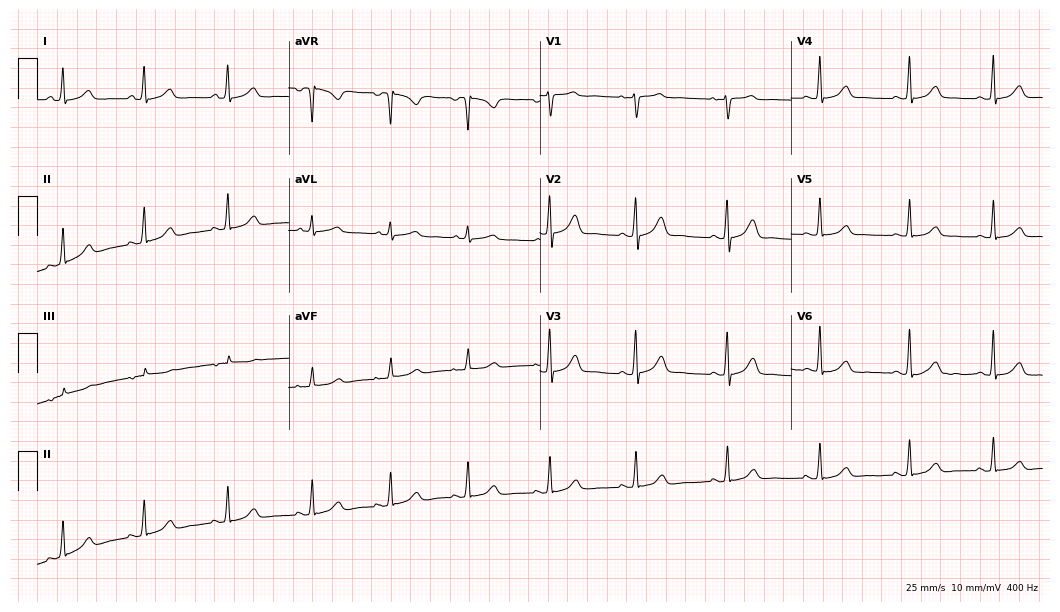
Resting 12-lead electrocardiogram. Patient: a 40-year-old woman. None of these six findings is recorded: first-degree AV block, right bundle branch block, left bundle branch block, sinus bradycardia, atrial fibrillation, sinus tachycardia. Other findings, if any, are not listed.